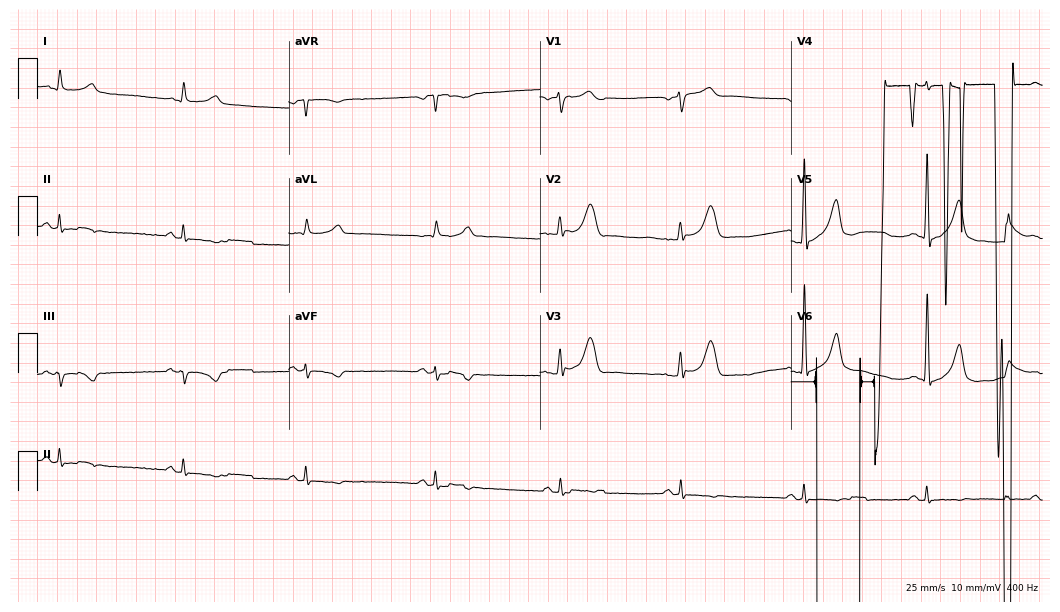
Electrocardiogram, an 81-year-old male patient. Interpretation includes sinus tachycardia (a sinus rate of 100 beats per minute or more).